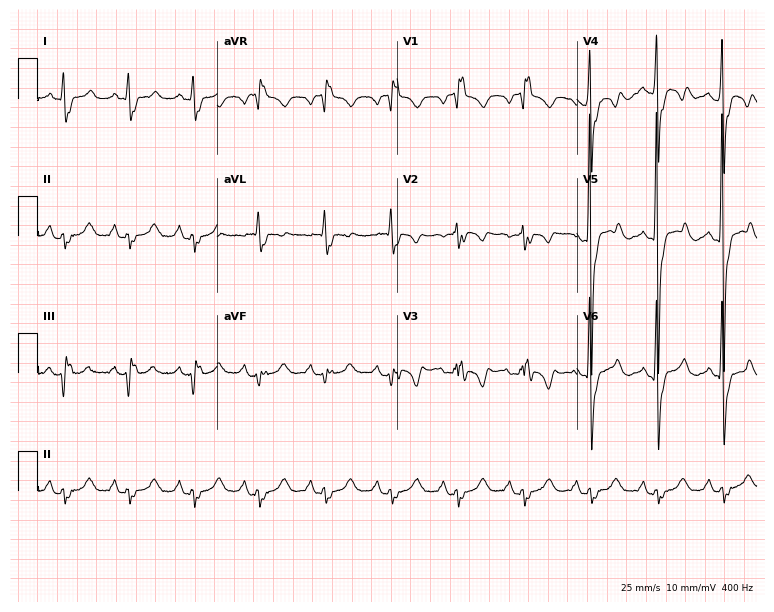
ECG — a female patient, 47 years old. Screened for six findings — first-degree AV block, right bundle branch block (RBBB), left bundle branch block (LBBB), sinus bradycardia, atrial fibrillation (AF), sinus tachycardia — none is recorded.